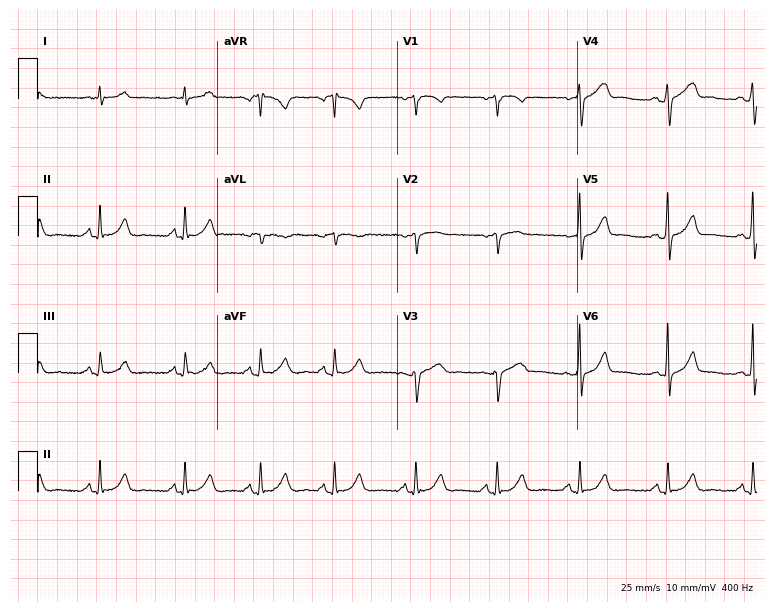
Electrocardiogram, a male patient, 61 years old. Overall reading on record: normal ECG.